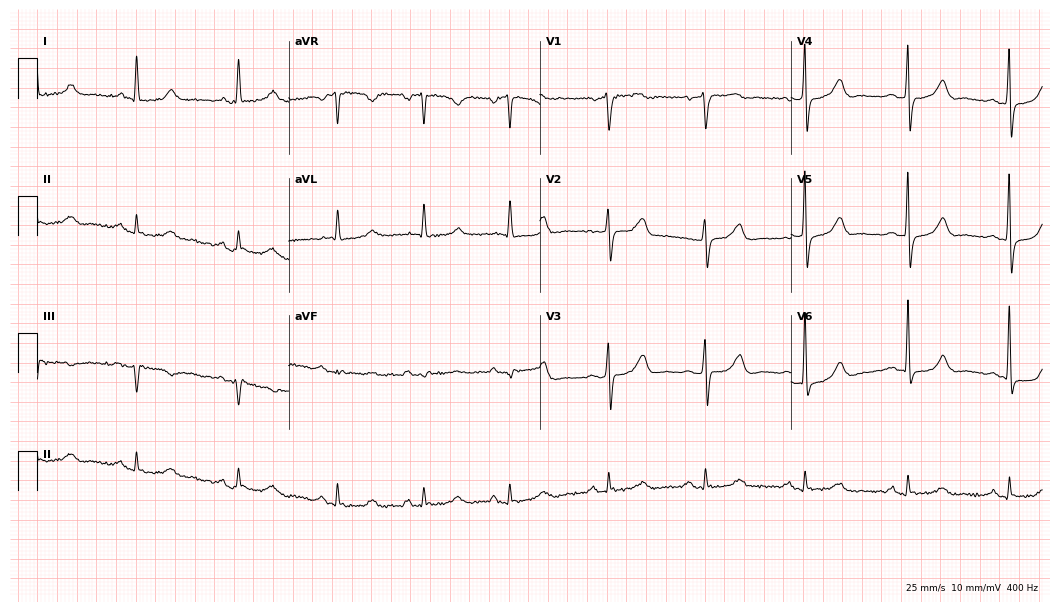
ECG — a man, 69 years old. Screened for six findings — first-degree AV block, right bundle branch block (RBBB), left bundle branch block (LBBB), sinus bradycardia, atrial fibrillation (AF), sinus tachycardia — none is recorded. Other findings, if any, are not listed.